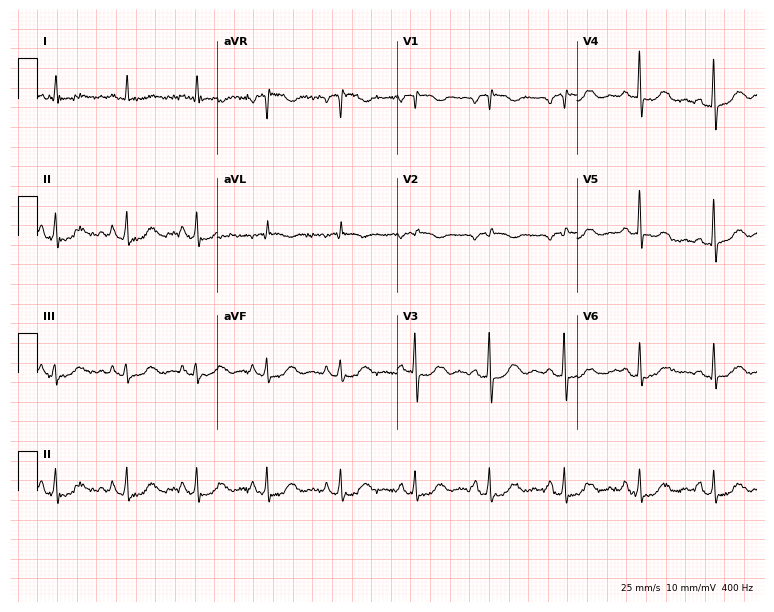
Electrocardiogram, a female, 61 years old. Of the six screened findings (first-degree AV block, right bundle branch block, left bundle branch block, sinus bradycardia, atrial fibrillation, sinus tachycardia), none is recorded.